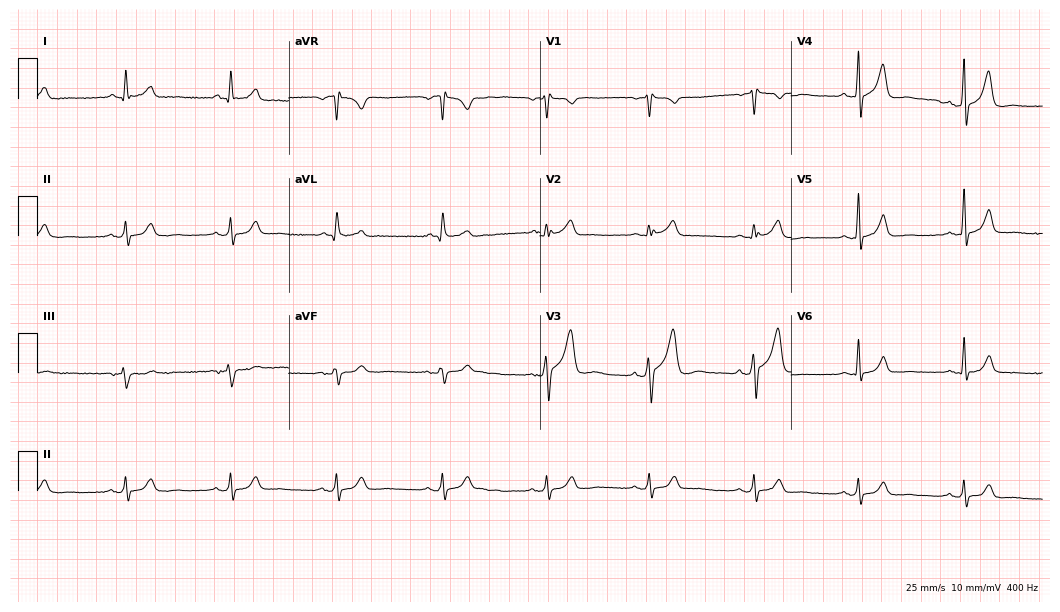
12-lead ECG from a 69-year-old man (10.2-second recording at 400 Hz). No first-degree AV block, right bundle branch block (RBBB), left bundle branch block (LBBB), sinus bradycardia, atrial fibrillation (AF) or sinus tachycardia recorded for this tracing.